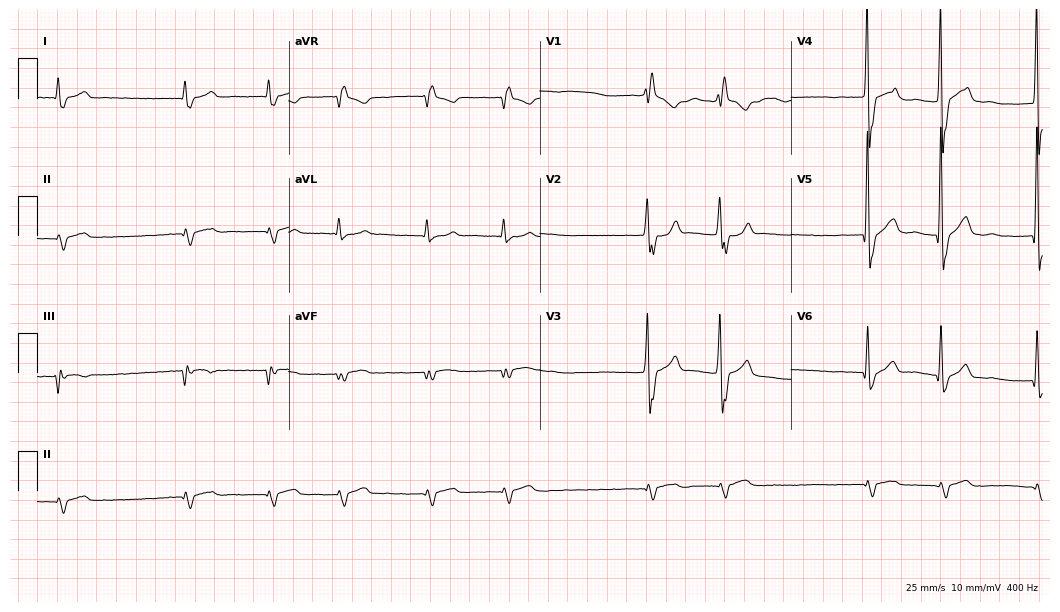
12-lead ECG from a 43-year-old male. Screened for six findings — first-degree AV block, right bundle branch block (RBBB), left bundle branch block (LBBB), sinus bradycardia, atrial fibrillation (AF), sinus tachycardia — none is recorded. Only these six findings were labelled.